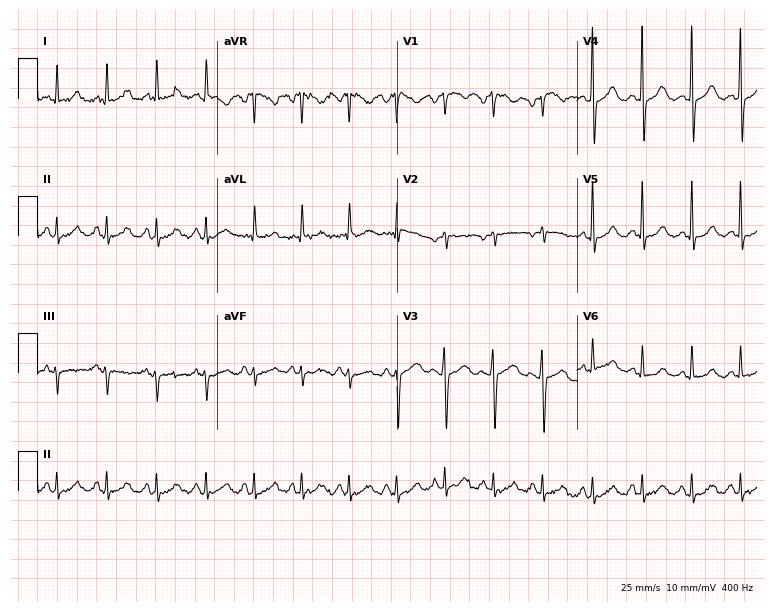
Resting 12-lead electrocardiogram. Patient: a male, 50 years old. The tracing shows sinus tachycardia (a sinus rate of 100 beats per minute or more).